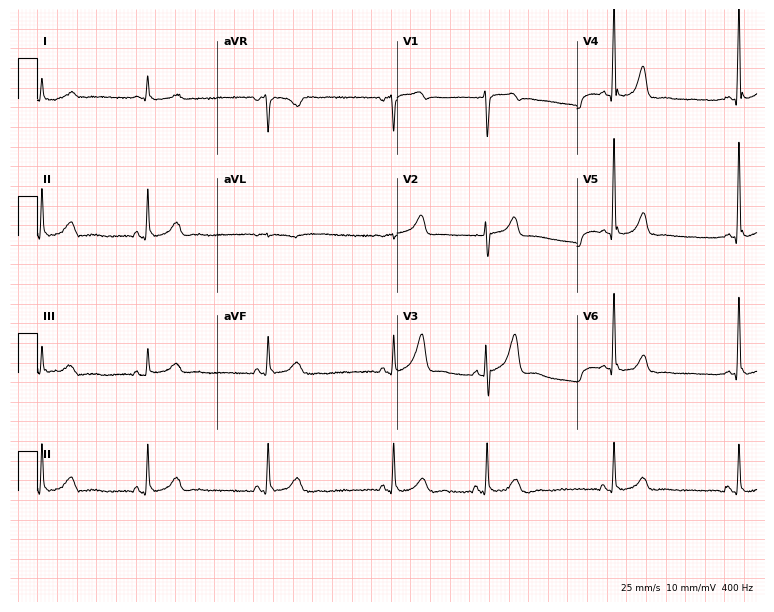
Electrocardiogram (7.3-second recording at 400 Hz), a 76-year-old male patient. Overall reading on record: normal ECG.